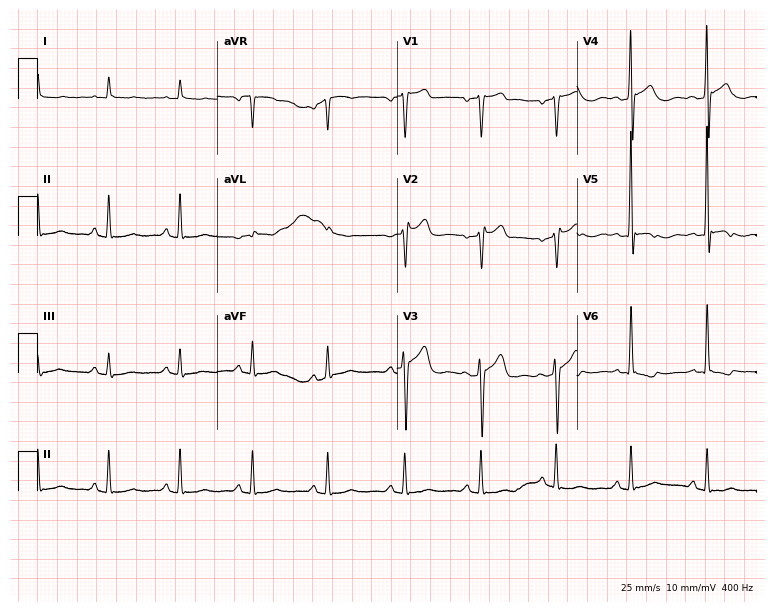
12-lead ECG from a 68-year-old man. Screened for six findings — first-degree AV block, right bundle branch block, left bundle branch block, sinus bradycardia, atrial fibrillation, sinus tachycardia — none is recorded. Only these six findings were labelled.